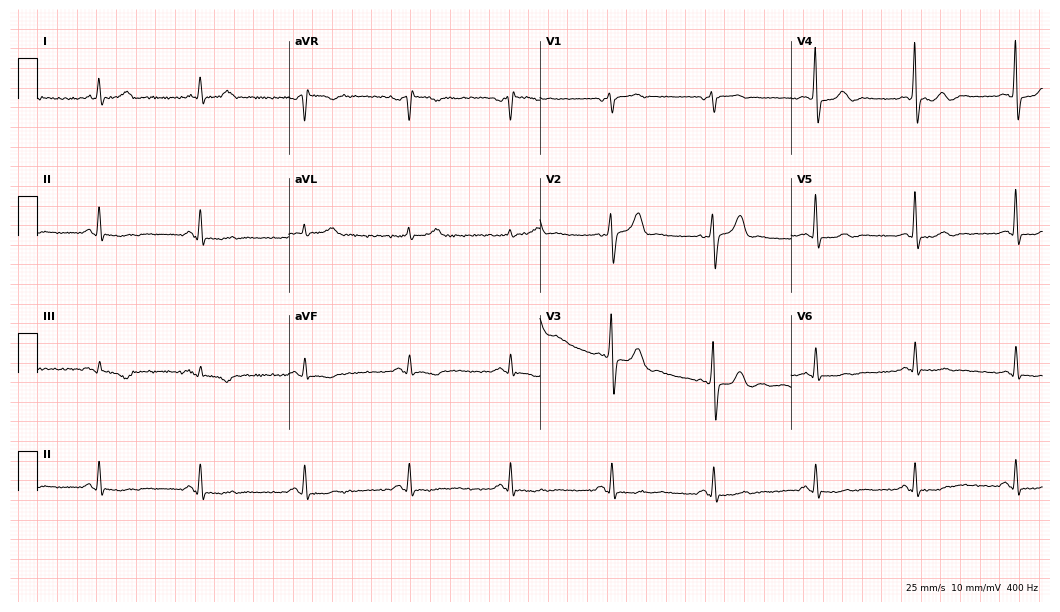
Resting 12-lead electrocardiogram (10.2-second recording at 400 Hz). Patient: a man, 69 years old. None of these six findings is recorded: first-degree AV block, right bundle branch block, left bundle branch block, sinus bradycardia, atrial fibrillation, sinus tachycardia. Other findings, if any, are not listed.